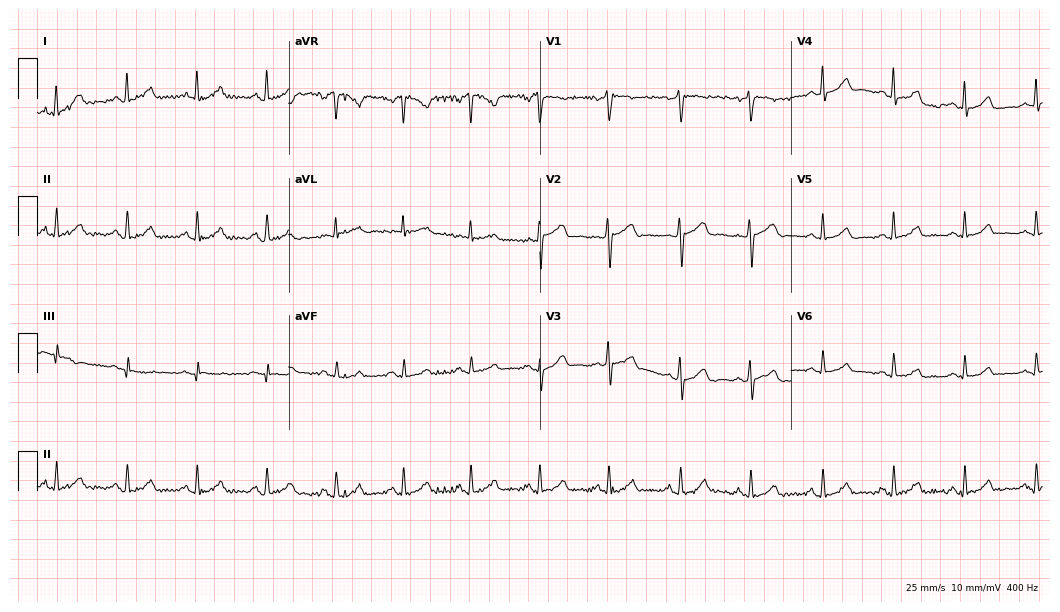
ECG — a 48-year-old female. Labelled as a normal ECG.